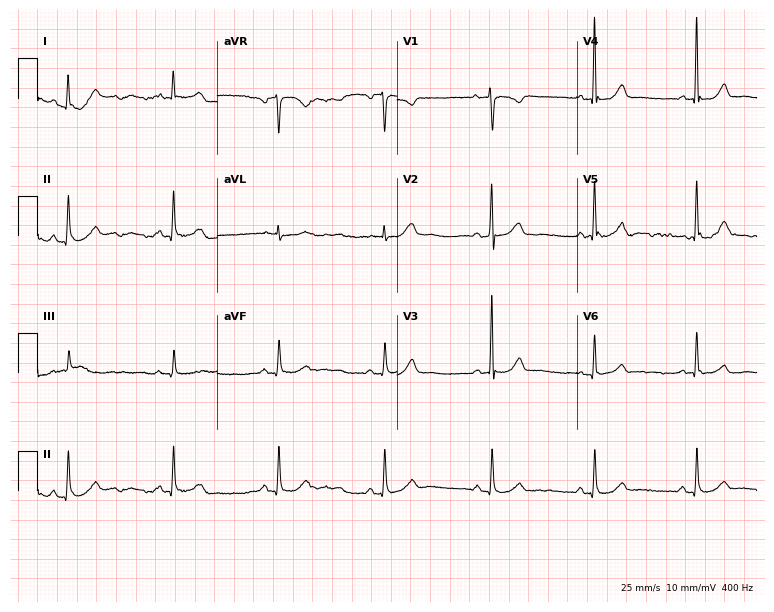
12-lead ECG from a 48-year-old woman (7.3-second recording at 400 Hz). No first-degree AV block, right bundle branch block, left bundle branch block, sinus bradycardia, atrial fibrillation or sinus tachycardia recorded for this tracing.